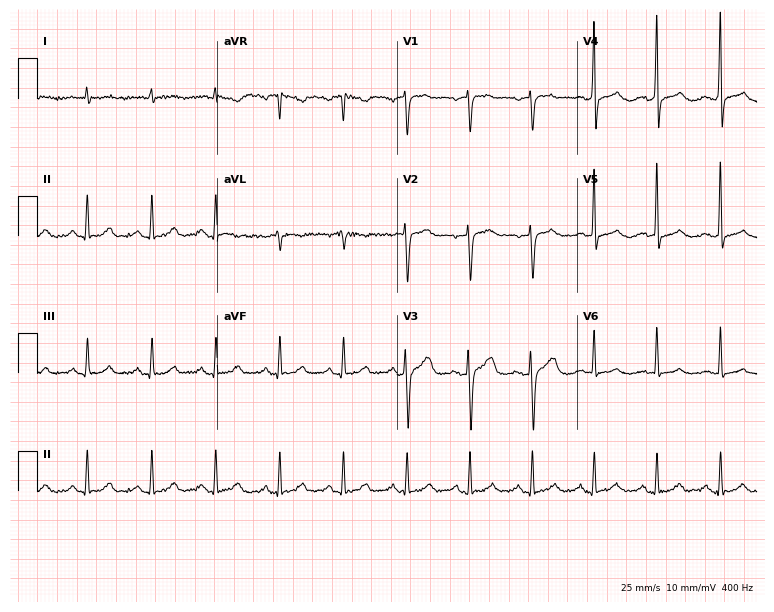
Standard 12-lead ECG recorded from a male patient, 63 years old. Read as a normal ECG.